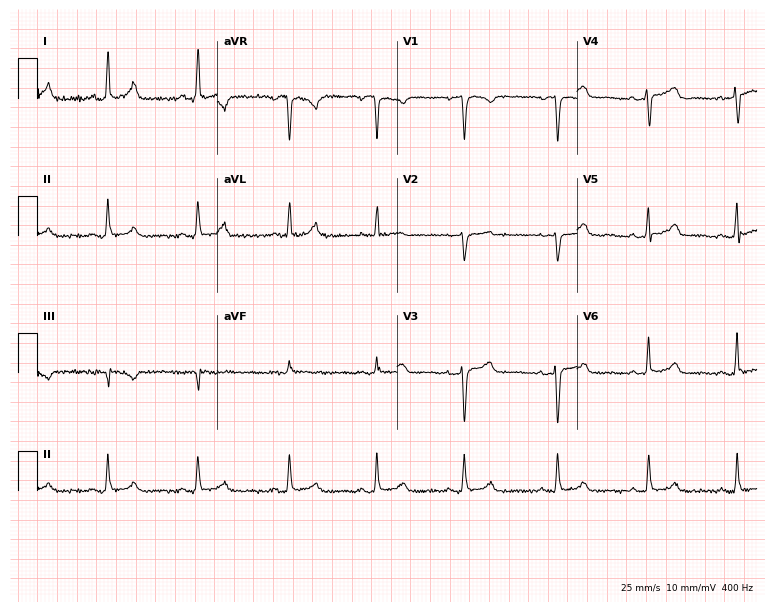
ECG (7.3-second recording at 400 Hz) — a woman, 37 years old. Screened for six findings — first-degree AV block, right bundle branch block, left bundle branch block, sinus bradycardia, atrial fibrillation, sinus tachycardia — none is recorded. Only these six findings were labelled.